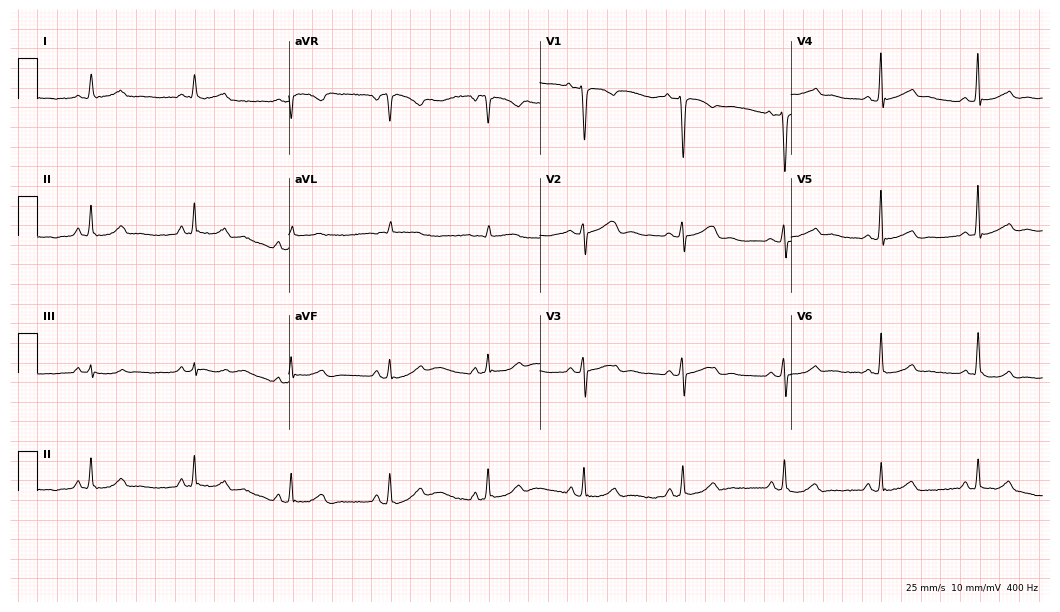
Electrocardiogram, a female patient, 45 years old. Overall reading on record: normal ECG.